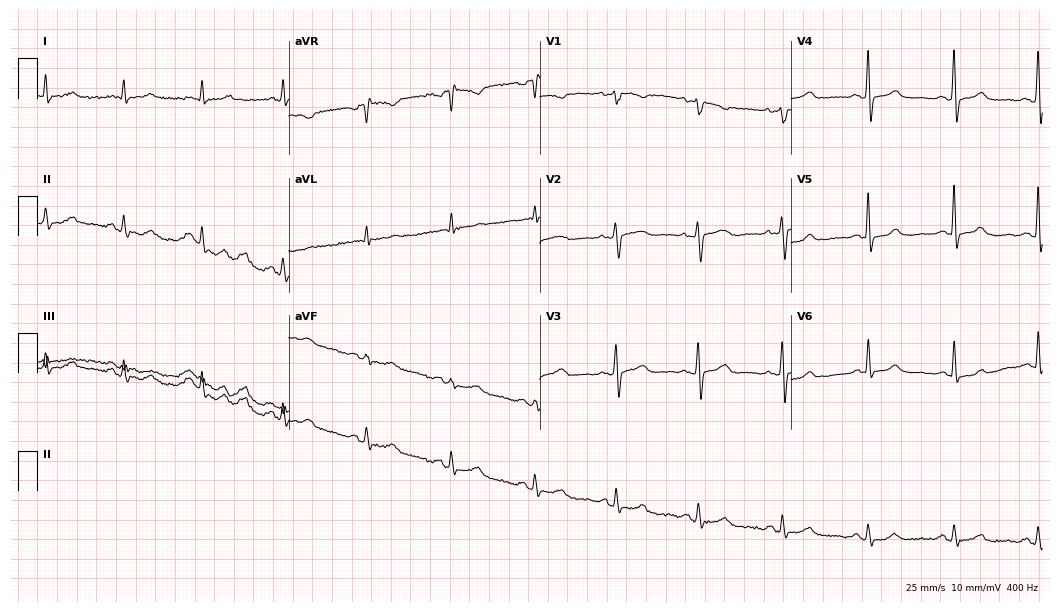
12-lead ECG from a 47-year-old female patient (10.2-second recording at 400 Hz). No first-degree AV block, right bundle branch block, left bundle branch block, sinus bradycardia, atrial fibrillation or sinus tachycardia recorded for this tracing.